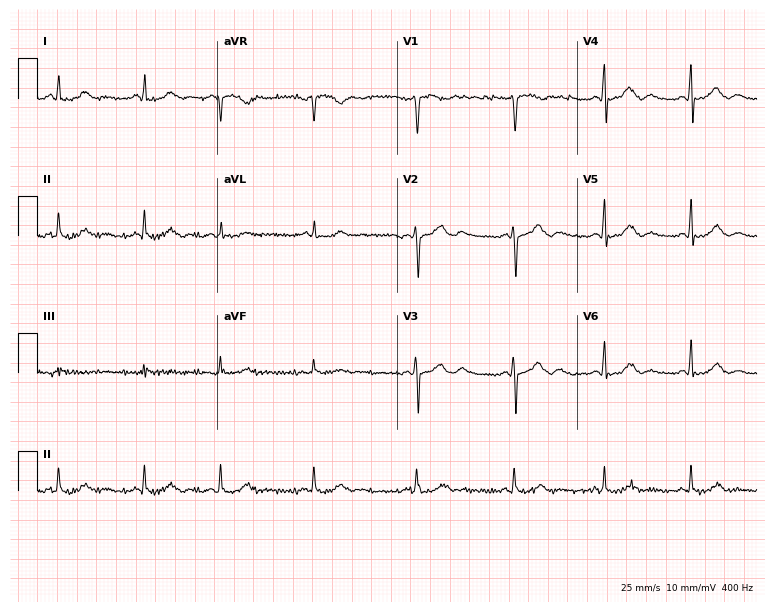
Electrocardiogram, a female patient, 28 years old. Of the six screened findings (first-degree AV block, right bundle branch block, left bundle branch block, sinus bradycardia, atrial fibrillation, sinus tachycardia), none is recorded.